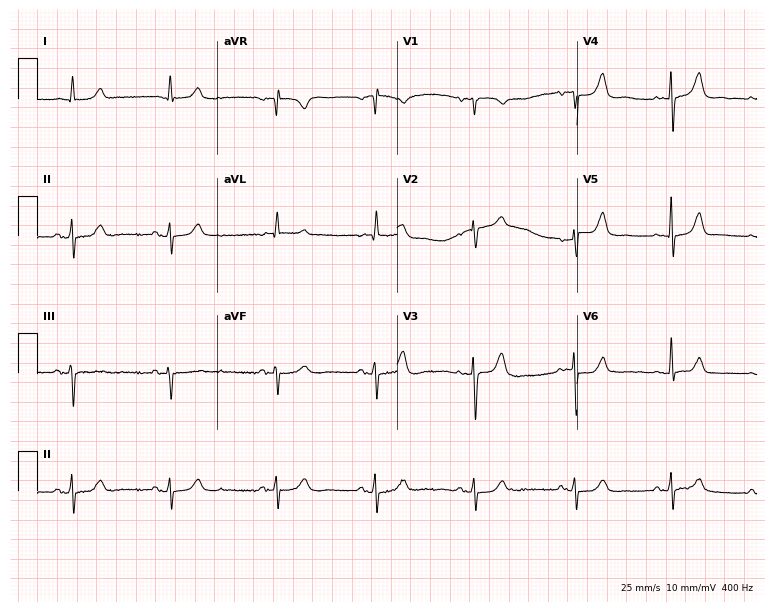
ECG — a female, 79 years old. Screened for six findings — first-degree AV block, right bundle branch block, left bundle branch block, sinus bradycardia, atrial fibrillation, sinus tachycardia — none is recorded. Other findings, if any, are not listed.